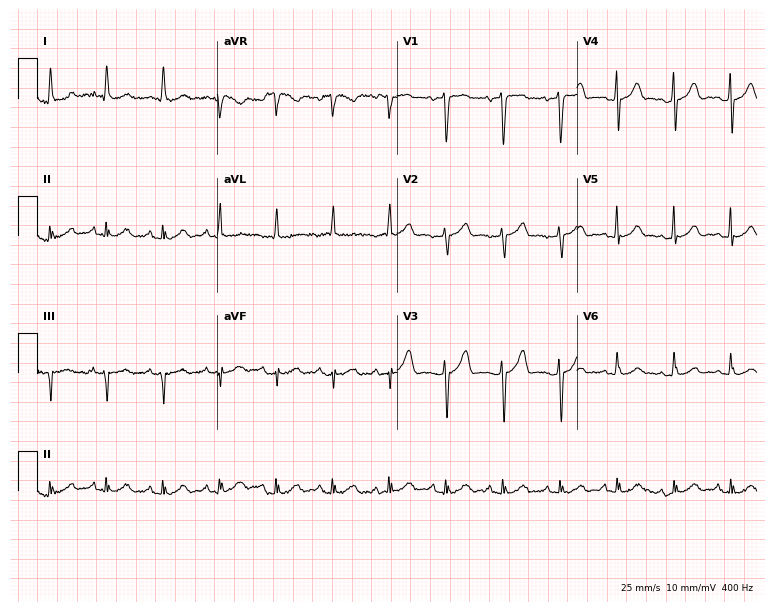
Resting 12-lead electrocardiogram. Patient: a 67-year-old male. Read as a normal ECG.